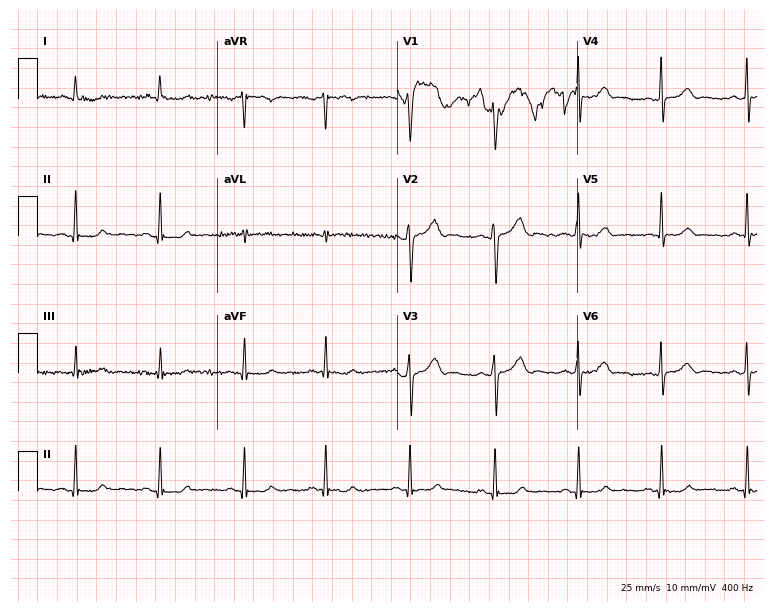
12-lead ECG (7.3-second recording at 400 Hz) from a 32-year-old female. Screened for six findings — first-degree AV block, right bundle branch block (RBBB), left bundle branch block (LBBB), sinus bradycardia, atrial fibrillation (AF), sinus tachycardia — none is recorded. Other findings, if any, are not listed.